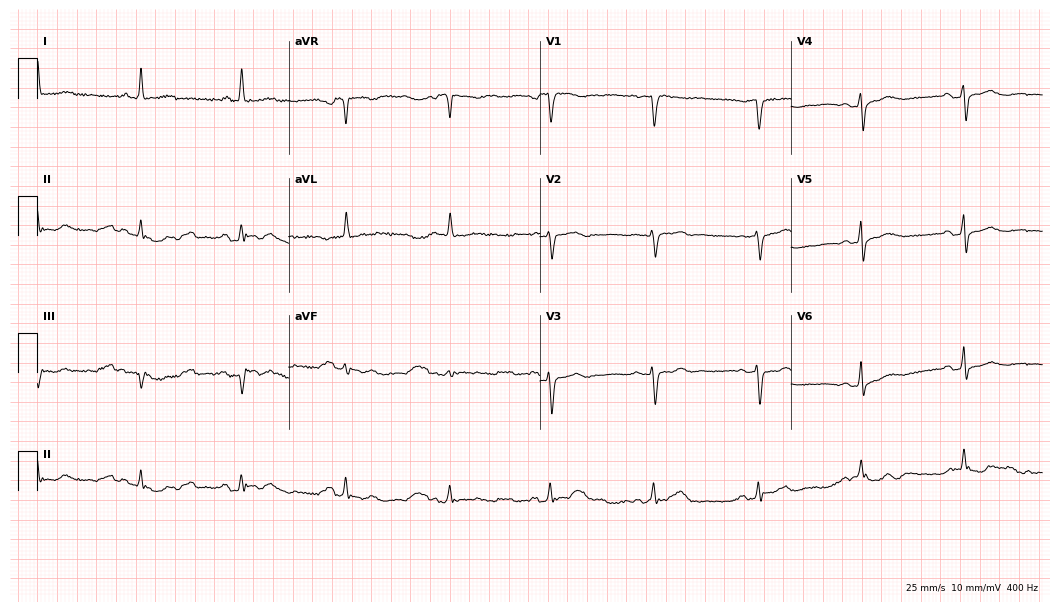
12-lead ECG (10.2-second recording at 400 Hz) from a woman, 67 years old. Screened for six findings — first-degree AV block, right bundle branch block, left bundle branch block, sinus bradycardia, atrial fibrillation, sinus tachycardia — none is recorded.